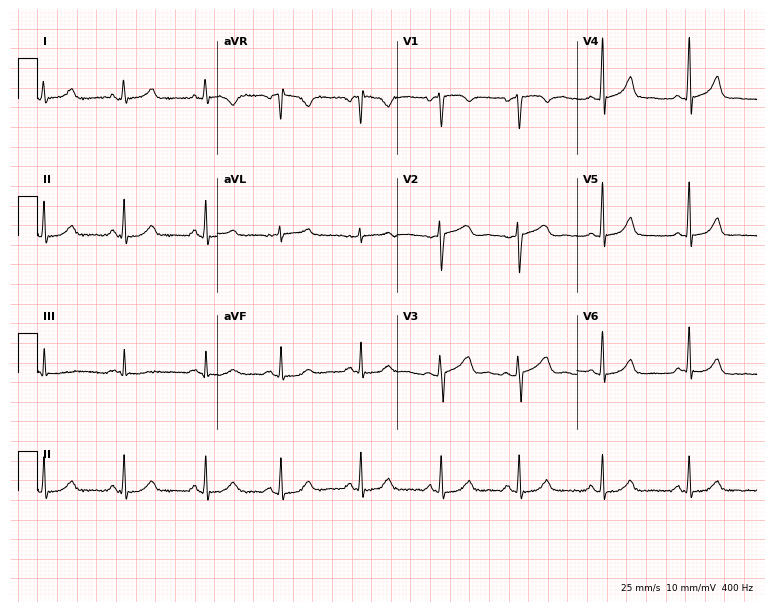
Electrocardiogram (7.3-second recording at 400 Hz), a woman, 48 years old. Overall reading on record: normal ECG.